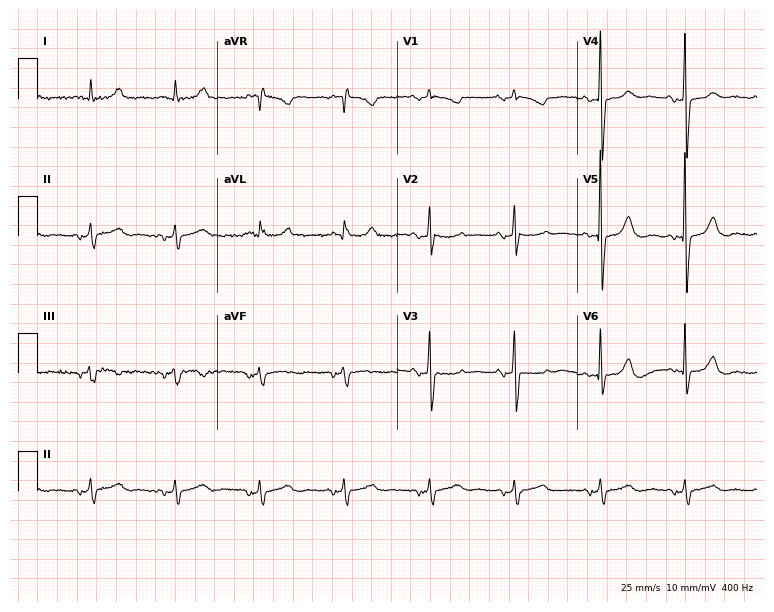
Resting 12-lead electrocardiogram (7.3-second recording at 400 Hz). Patient: a female, 88 years old. None of these six findings is recorded: first-degree AV block, right bundle branch block (RBBB), left bundle branch block (LBBB), sinus bradycardia, atrial fibrillation (AF), sinus tachycardia.